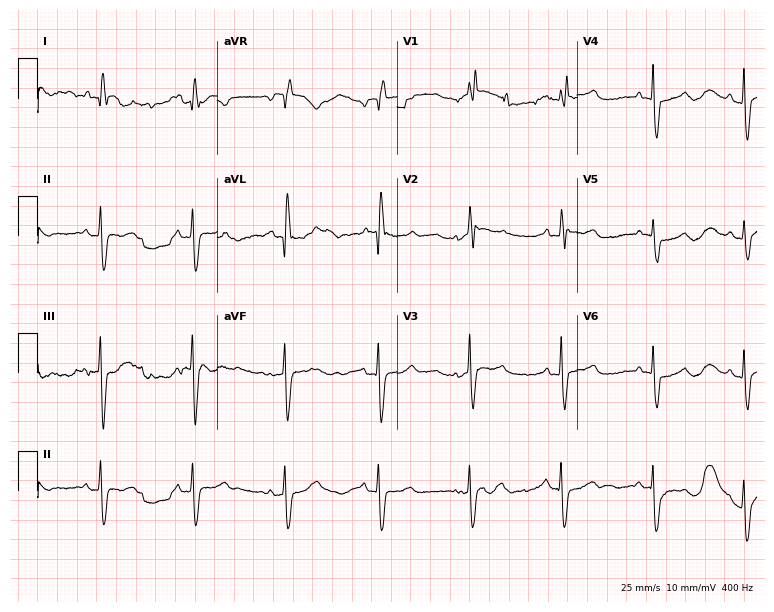
Standard 12-lead ECG recorded from a male, 84 years old. The tracing shows right bundle branch block.